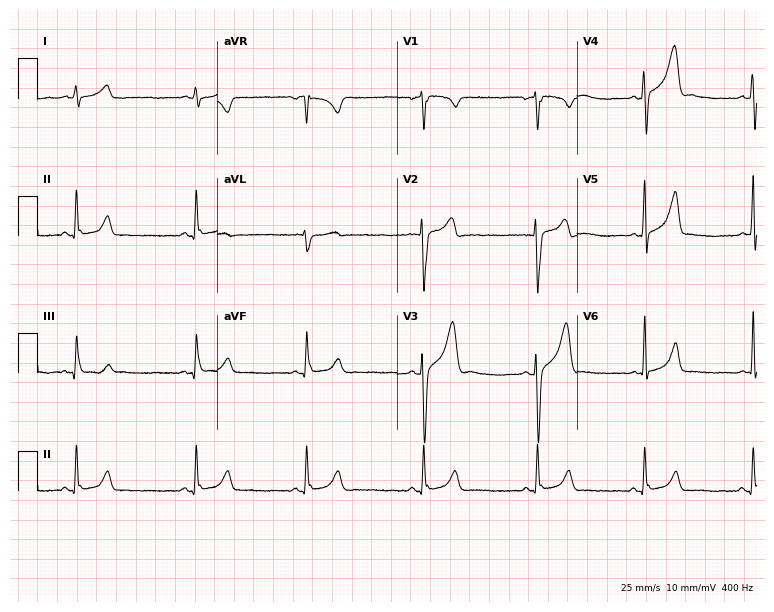
Resting 12-lead electrocardiogram. Patient: a man, 34 years old. None of these six findings is recorded: first-degree AV block, right bundle branch block (RBBB), left bundle branch block (LBBB), sinus bradycardia, atrial fibrillation (AF), sinus tachycardia. Other findings, if any, are not listed.